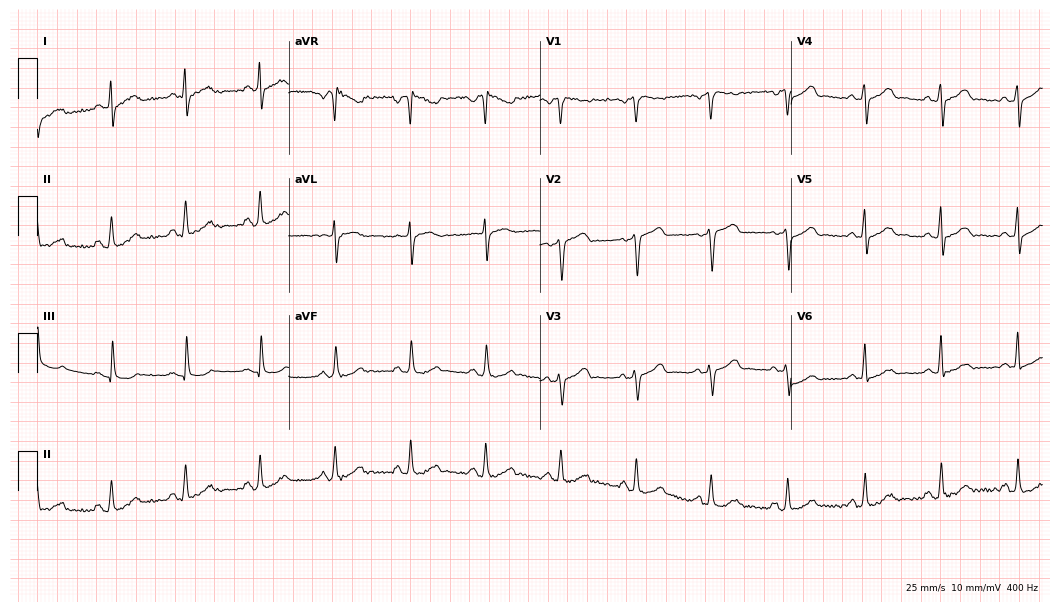
12-lead ECG from a 61-year-old female (10.2-second recording at 400 Hz). No first-degree AV block, right bundle branch block, left bundle branch block, sinus bradycardia, atrial fibrillation or sinus tachycardia recorded for this tracing. Only these six findings were labelled.